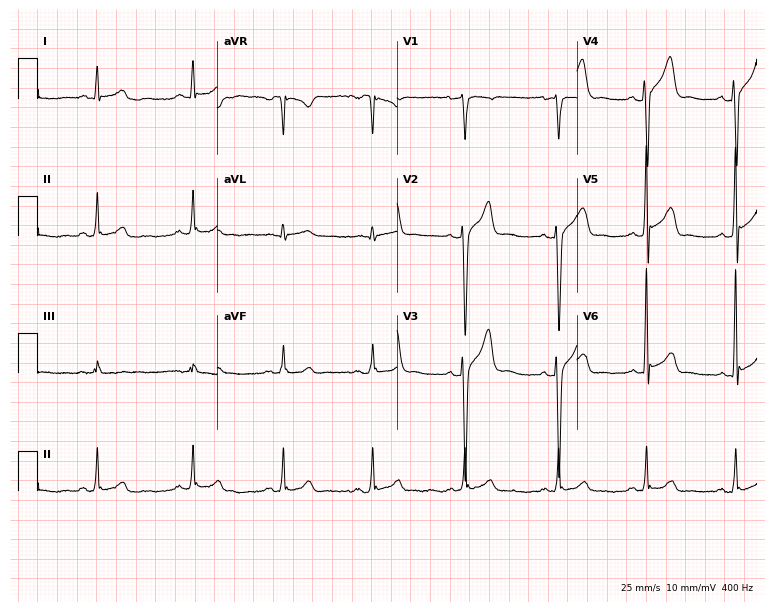
Resting 12-lead electrocardiogram (7.3-second recording at 400 Hz). Patient: a 34-year-old male. Read as a normal ECG.